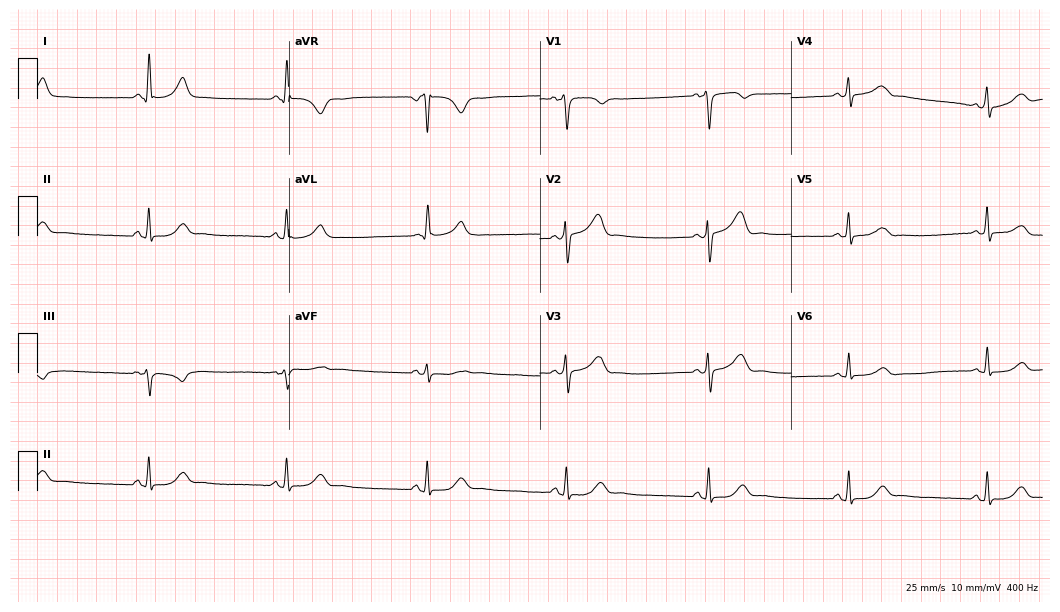
12-lead ECG (10.2-second recording at 400 Hz) from a male, 61 years old. Screened for six findings — first-degree AV block, right bundle branch block, left bundle branch block, sinus bradycardia, atrial fibrillation, sinus tachycardia — none is recorded.